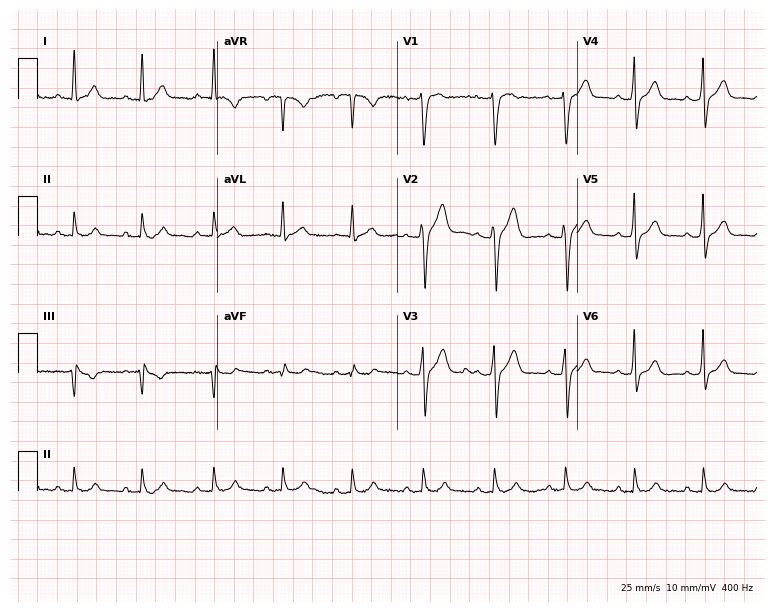
12-lead ECG from a man, 39 years old. Labelled as a normal ECG.